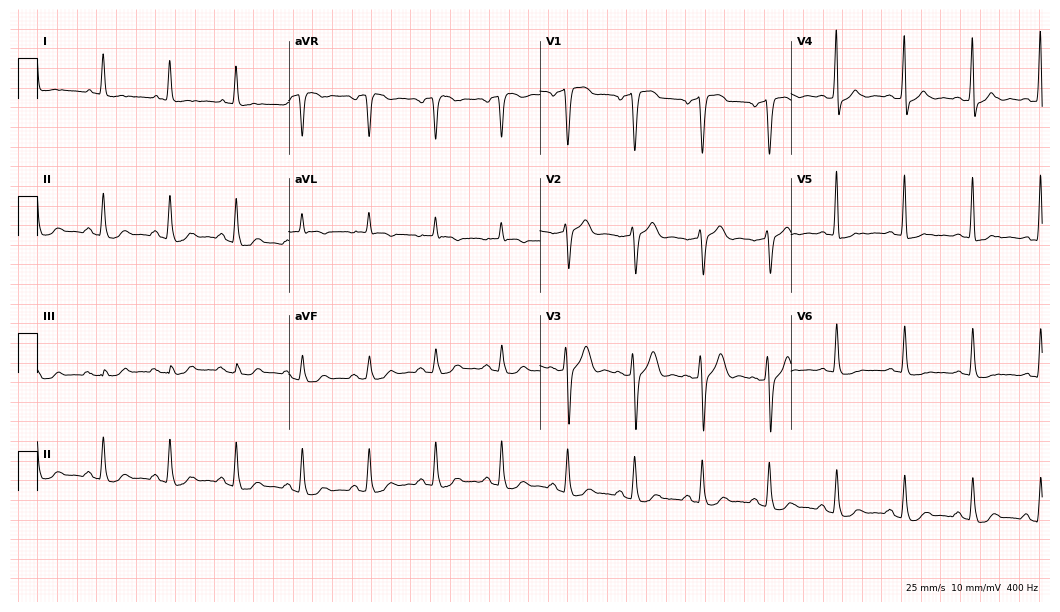
12-lead ECG from an 83-year-old man. No first-degree AV block, right bundle branch block, left bundle branch block, sinus bradycardia, atrial fibrillation or sinus tachycardia recorded for this tracing. Findings outside these six are not listed.